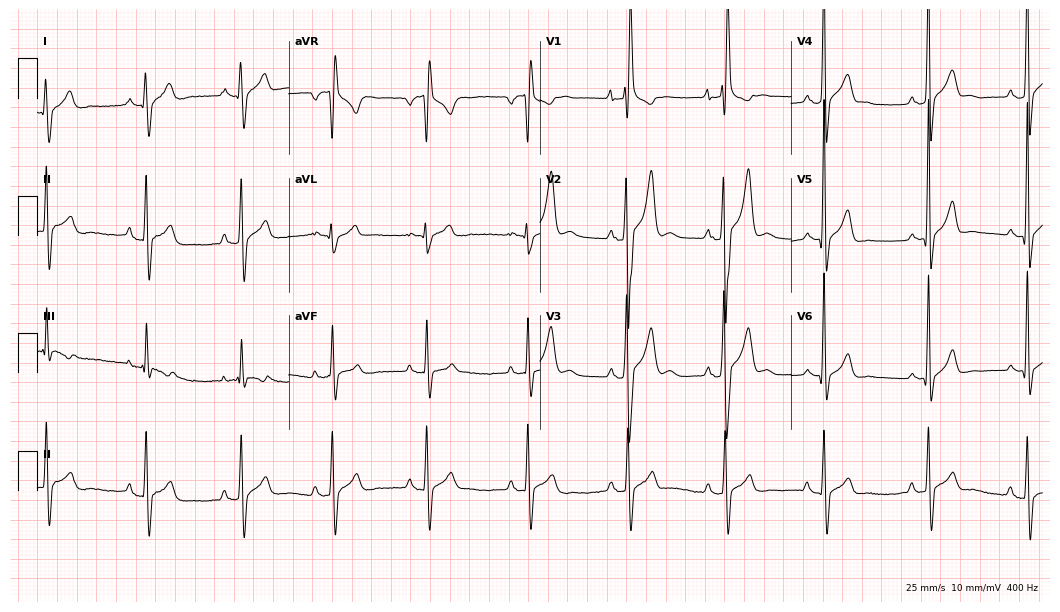
12-lead ECG from a 23-year-old male. Findings include right bundle branch block (RBBB).